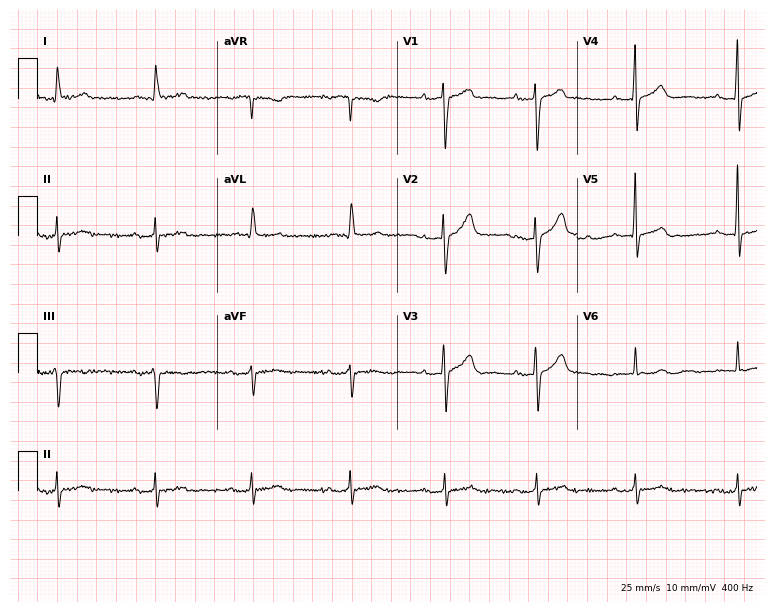
12-lead ECG from a 72-year-old male. Shows first-degree AV block.